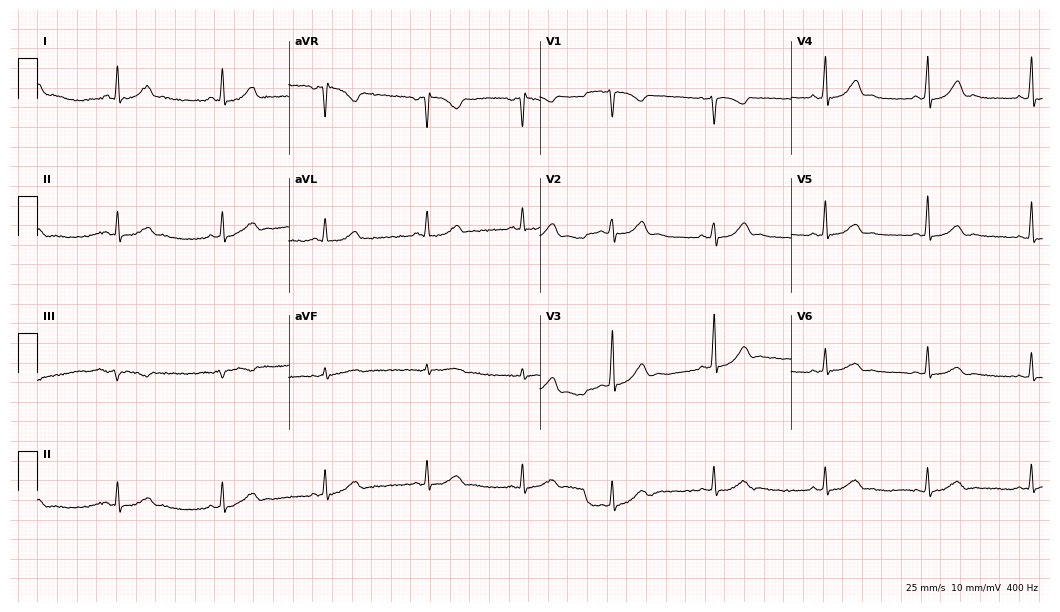
Standard 12-lead ECG recorded from a 37-year-old female (10.2-second recording at 400 Hz). Read as a normal ECG.